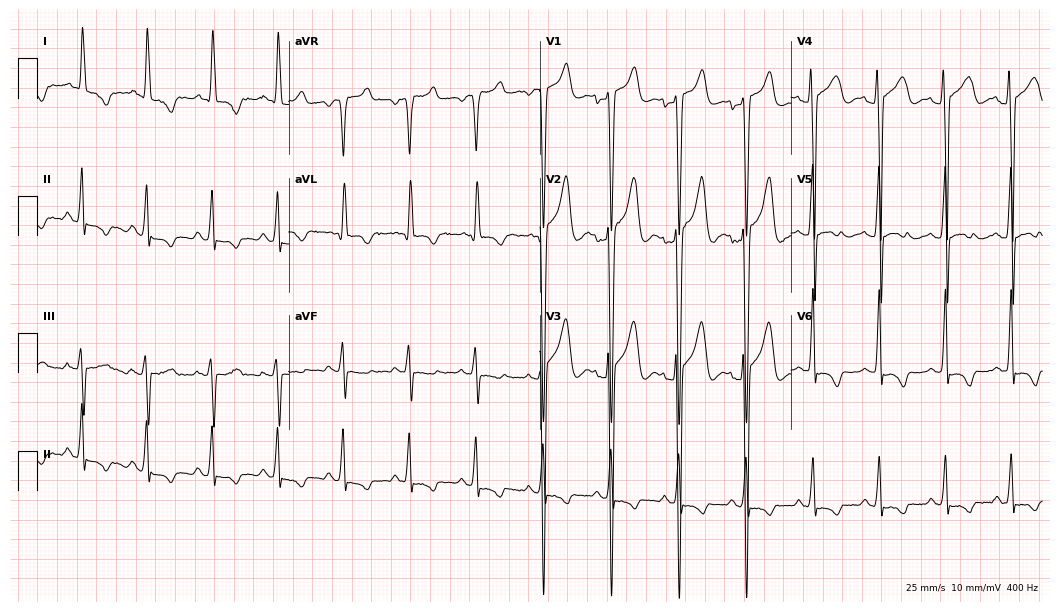
12-lead ECG from a male patient, 45 years old. No first-degree AV block, right bundle branch block, left bundle branch block, sinus bradycardia, atrial fibrillation or sinus tachycardia recorded for this tracing.